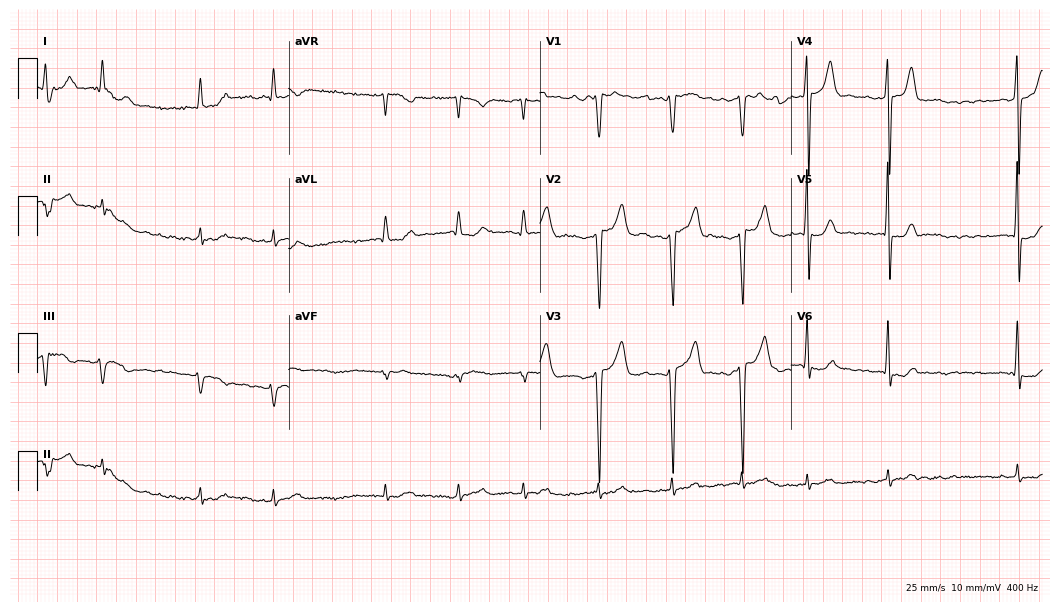
Standard 12-lead ECG recorded from a 78-year-old man (10.2-second recording at 400 Hz). The tracing shows atrial fibrillation (AF).